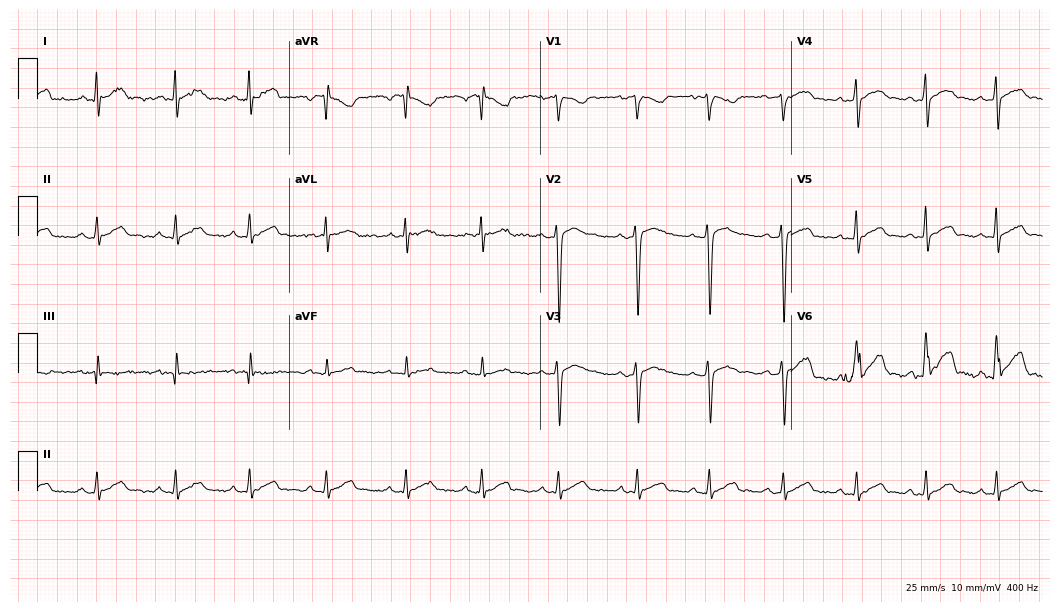
ECG — a 24-year-old man. Labelled as a normal ECG.